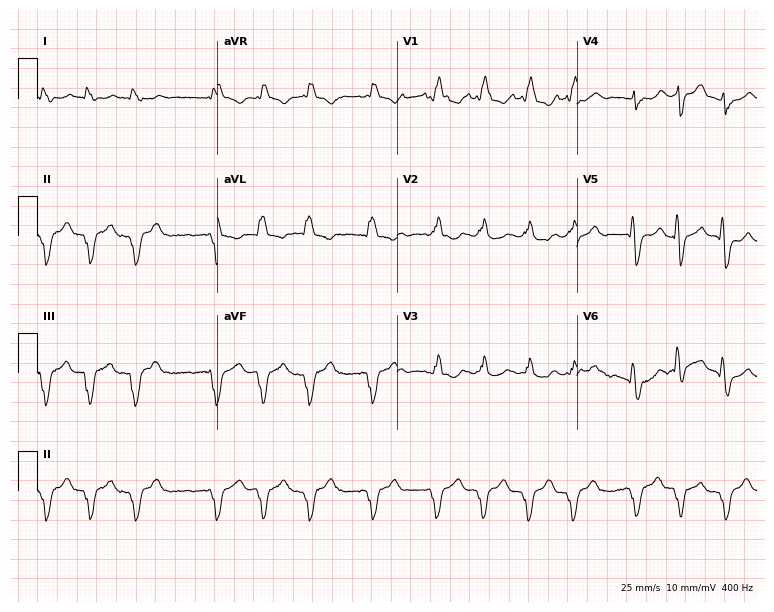
Resting 12-lead electrocardiogram. Patient: a male, 70 years old. The tracing shows right bundle branch block, atrial fibrillation.